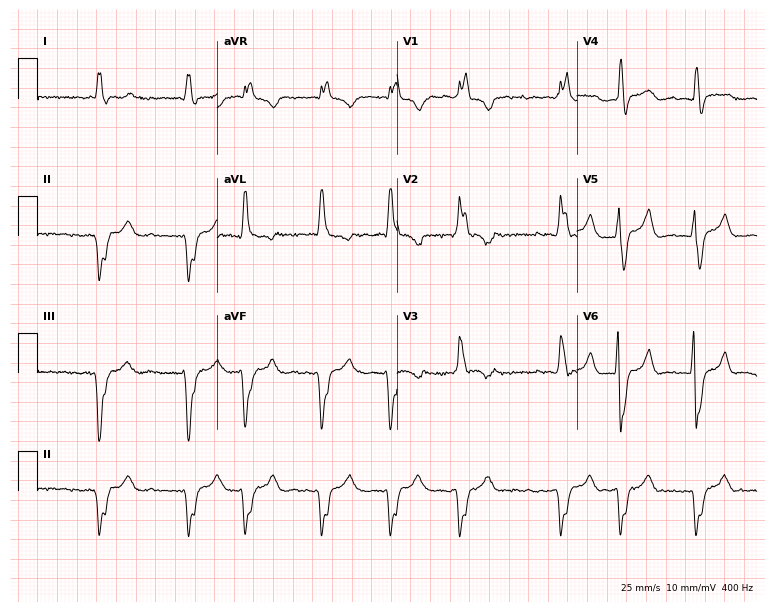
Standard 12-lead ECG recorded from a 47-year-old male patient (7.3-second recording at 400 Hz). The tracing shows right bundle branch block, atrial fibrillation.